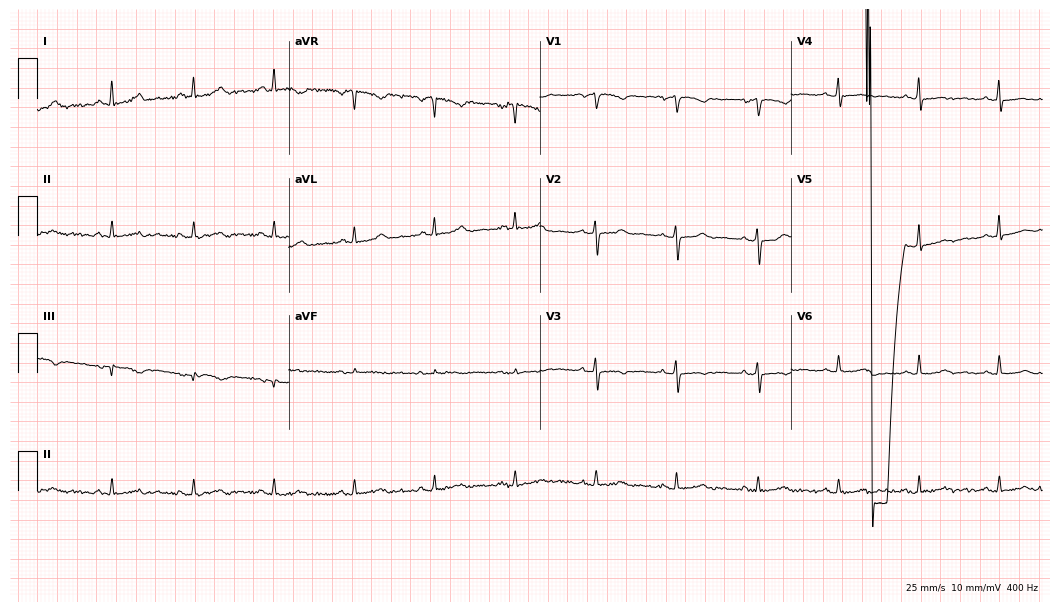
12-lead ECG from a 47-year-old woman. No first-degree AV block, right bundle branch block, left bundle branch block, sinus bradycardia, atrial fibrillation or sinus tachycardia recorded for this tracing.